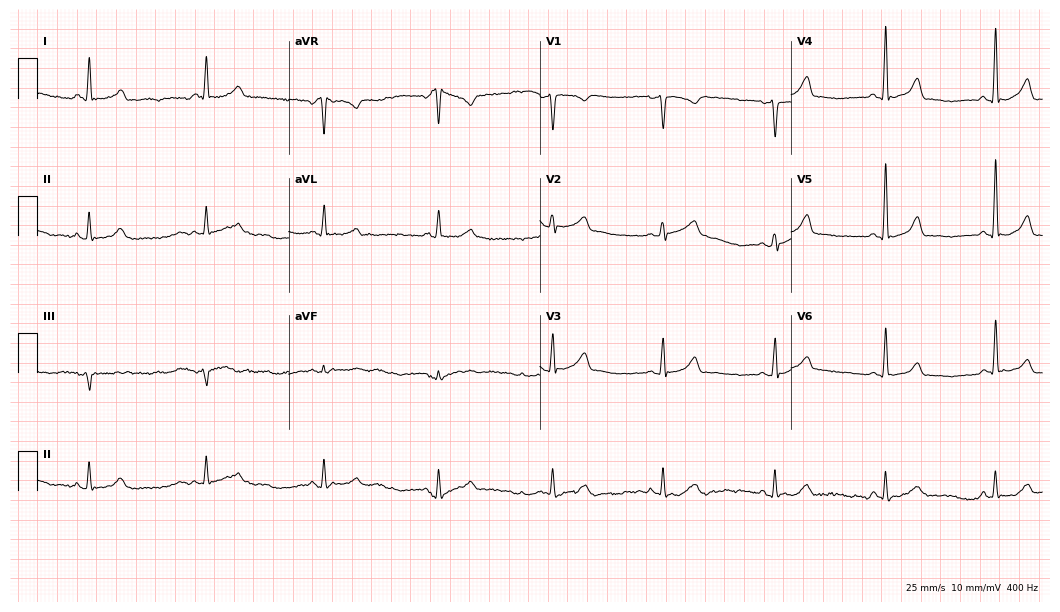
ECG — a 47-year-old female patient. Screened for six findings — first-degree AV block, right bundle branch block, left bundle branch block, sinus bradycardia, atrial fibrillation, sinus tachycardia — none is recorded. Only these six findings were labelled.